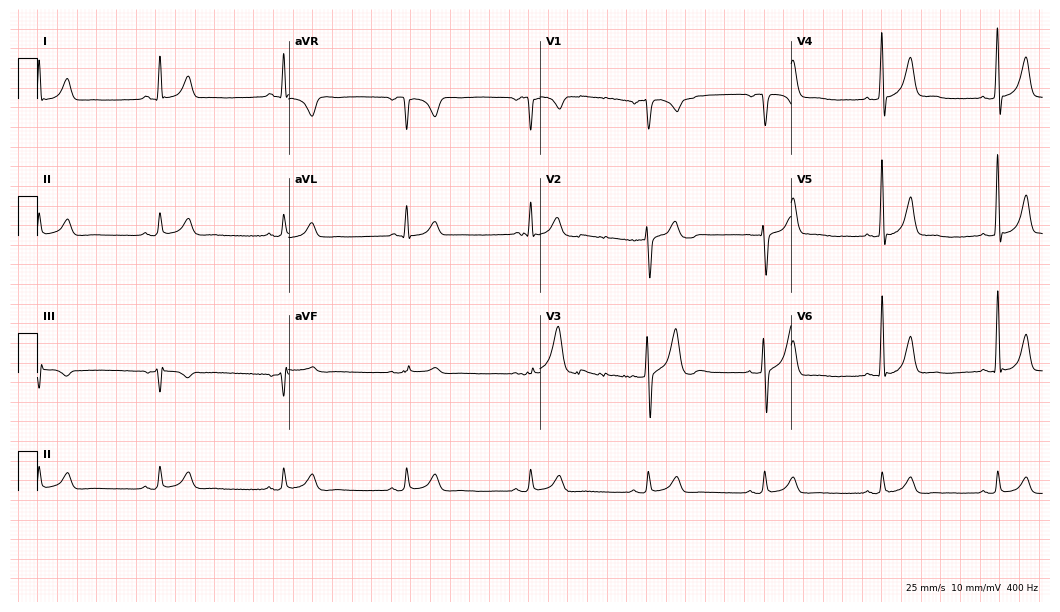
Electrocardiogram (10.2-second recording at 400 Hz), a 46-year-old male patient. Interpretation includes right bundle branch block, sinus bradycardia (a sinus rate of 50 beats per minute or less).